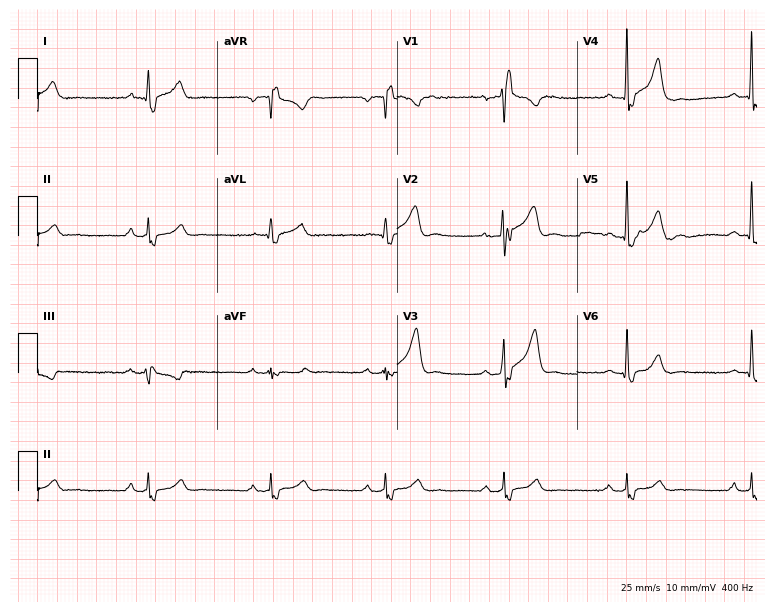
ECG — a 41-year-old male. Findings include right bundle branch block.